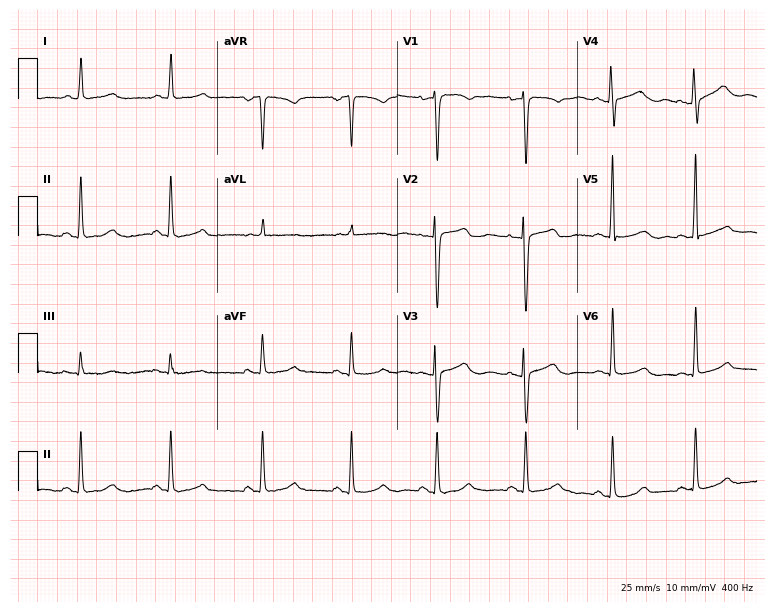
Resting 12-lead electrocardiogram. Patient: a 50-year-old female. Read as a normal ECG.